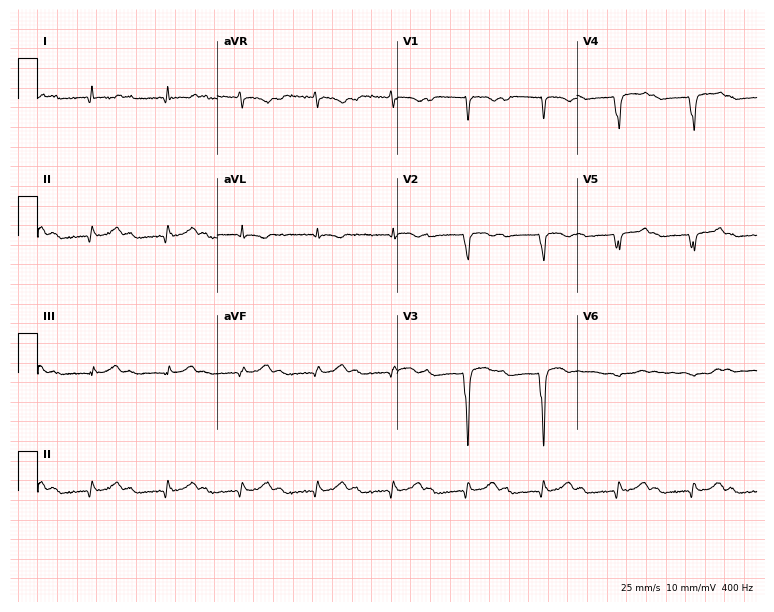
Electrocardiogram (7.3-second recording at 400 Hz), a male patient, 85 years old. Interpretation includes first-degree AV block.